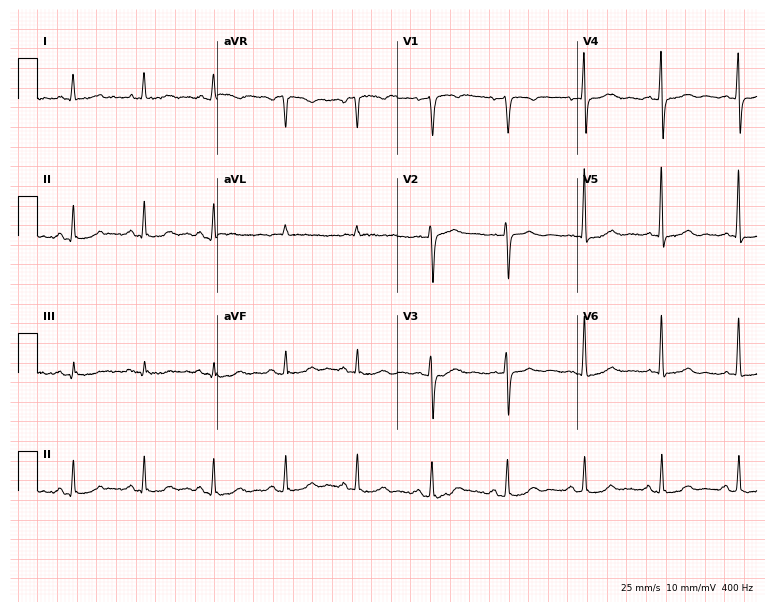
Resting 12-lead electrocardiogram. Patient: an 81-year-old male. None of these six findings is recorded: first-degree AV block, right bundle branch block (RBBB), left bundle branch block (LBBB), sinus bradycardia, atrial fibrillation (AF), sinus tachycardia. Findings outside these six are not listed.